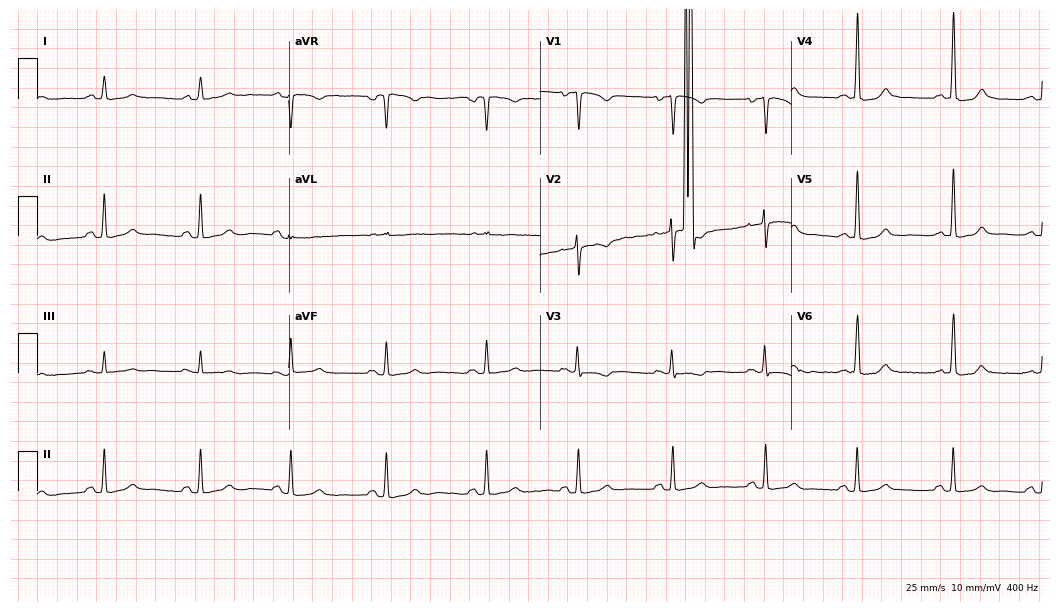
Electrocardiogram, a 38-year-old woman. Of the six screened findings (first-degree AV block, right bundle branch block (RBBB), left bundle branch block (LBBB), sinus bradycardia, atrial fibrillation (AF), sinus tachycardia), none is recorded.